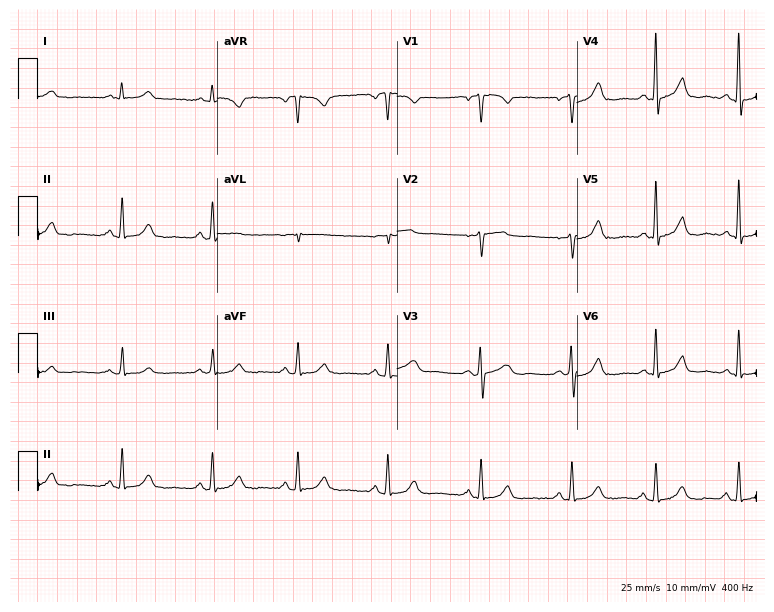
Standard 12-lead ECG recorded from a woman, 46 years old. None of these six findings is recorded: first-degree AV block, right bundle branch block (RBBB), left bundle branch block (LBBB), sinus bradycardia, atrial fibrillation (AF), sinus tachycardia. Only these six findings were labelled.